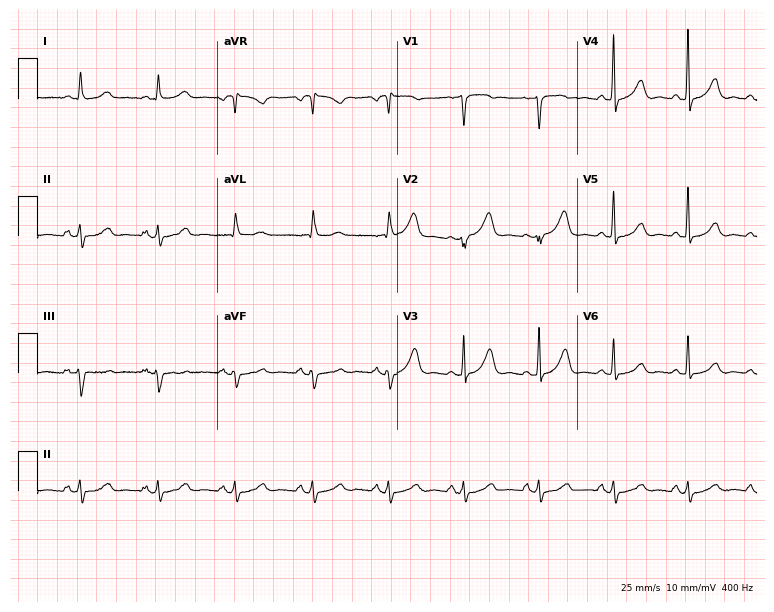
Resting 12-lead electrocardiogram. Patient: a 74-year-old woman. None of these six findings is recorded: first-degree AV block, right bundle branch block, left bundle branch block, sinus bradycardia, atrial fibrillation, sinus tachycardia. Findings outside these six are not listed.